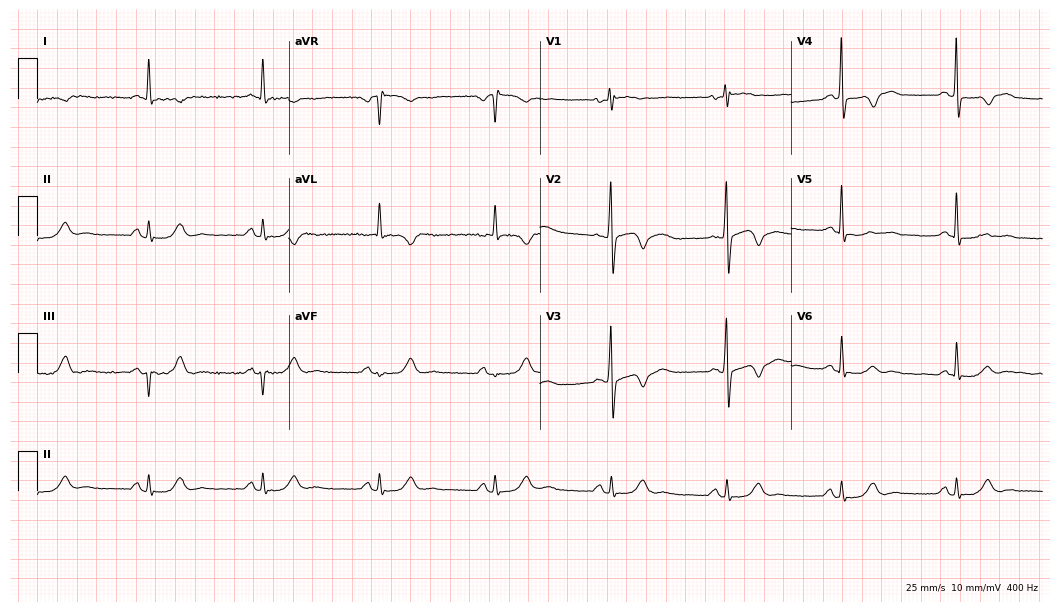
Electrocardiogram (10.2-second recording at 400 Hz), a female, 64 years old. Of the six screened findings (first-degree AV block, right bundle branch block (RBBB), left bundle branch block (LBBB), sinus bradycardia, atrial fibrillation (AF), sinus tachycardia), none is recorded.